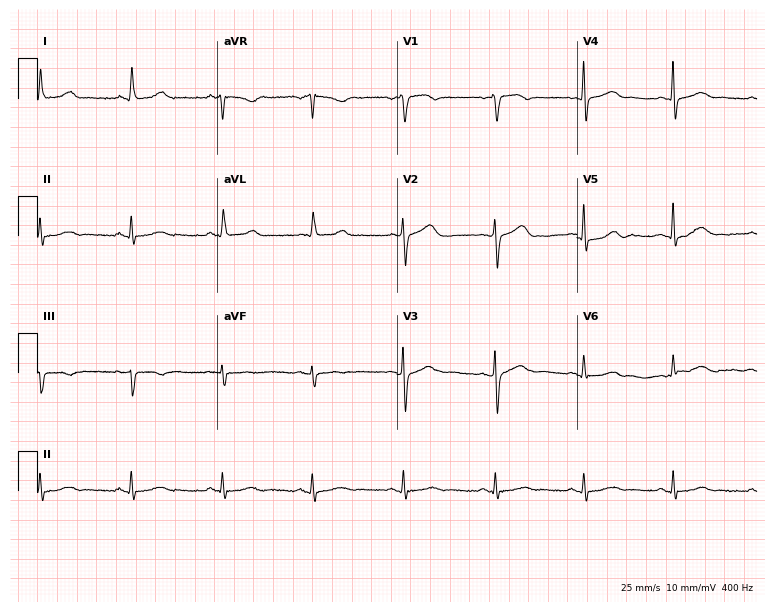
Resting 12-lead electrocardiogram (7.3-second recording at 400 Hz). Patient: a female, 69 years old. Read as a normal ECG.